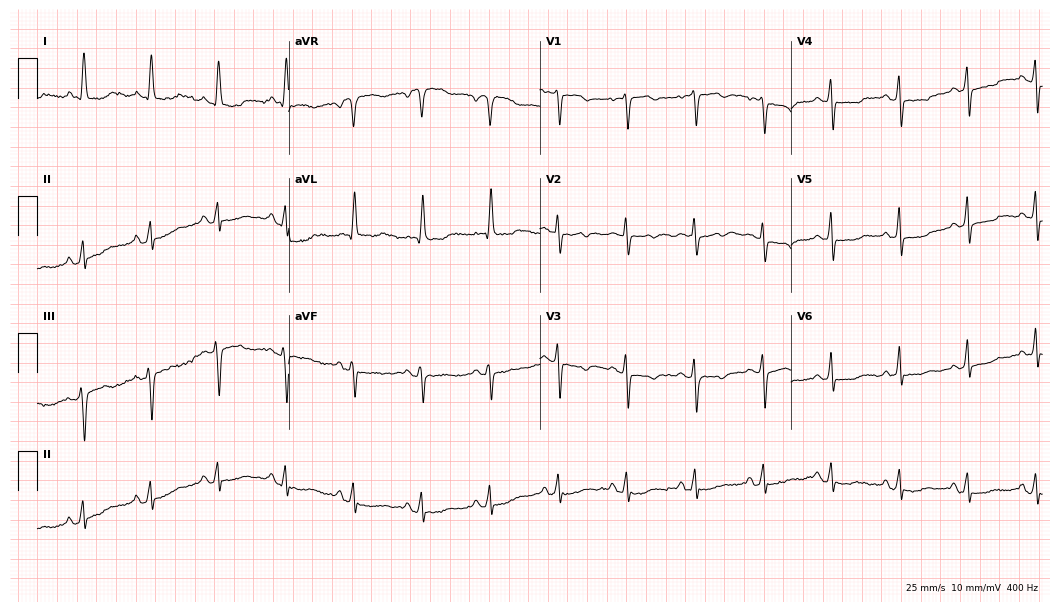
Standard 12-lead ECG recorded from a 73-year-old female patient. None of these six findings is recorded: first-degree AV block, right bundle branch block (RBBB), left bundle branch block (LBBB), sinus bradycardia, atrial fibrillation (AF), sinus tachycardia. Findings outside these six are not listed.